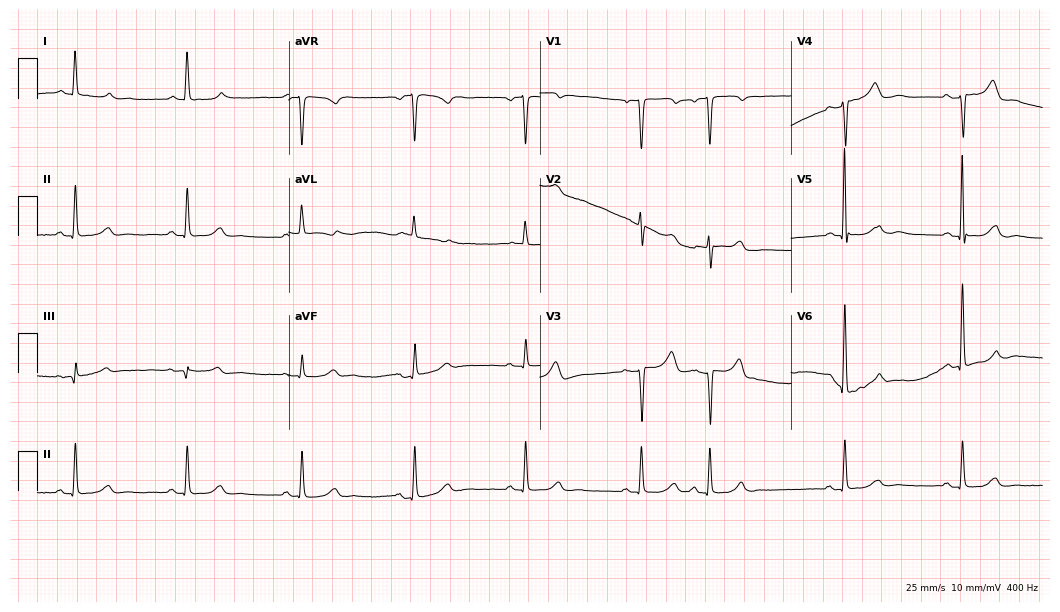
Electrocardiogram, a woman, 66 years old. Overall reading on record: normal ECG.